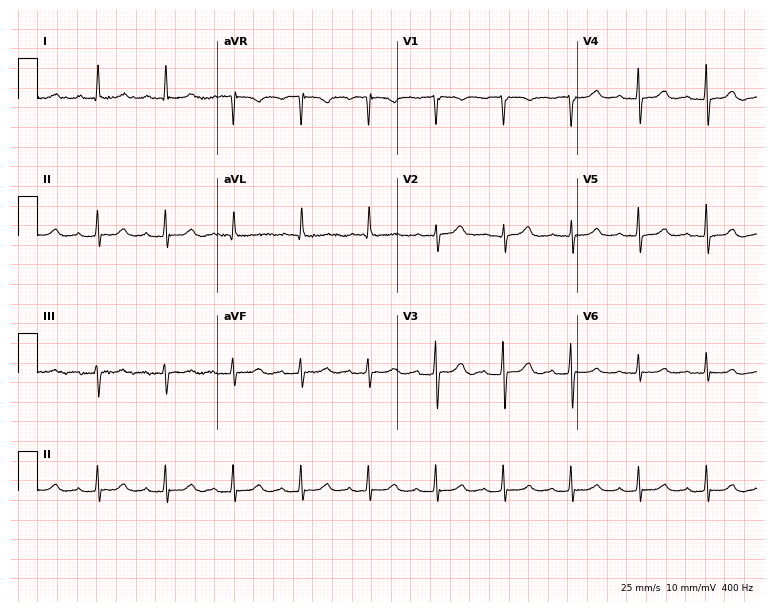
Standard 12-lead ECG recorded from a female patient, 85 years old (7.3-second recording at 400 Hz). None of these six findings is recorded: first-degree AV block, right bundle branch block, left bundle branch block, sinus bradycardia, atrial fibrillation, sinus tachycardia. Other findings, if any, are not listed.